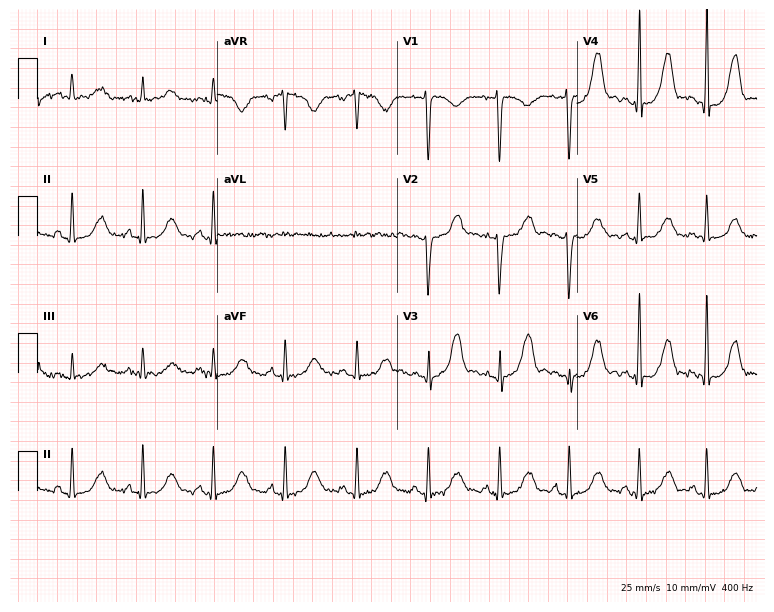
12-lead ECG from a 46-year-old woman. Screened for six findings — first-degree AV block, right bundle branch block (RBBB), left bundle branch block (LBBB), sinus bradycardia, atrial fibrillation (AF), sinus tachycardia — none is recorded. Findings outside these six are not listed.